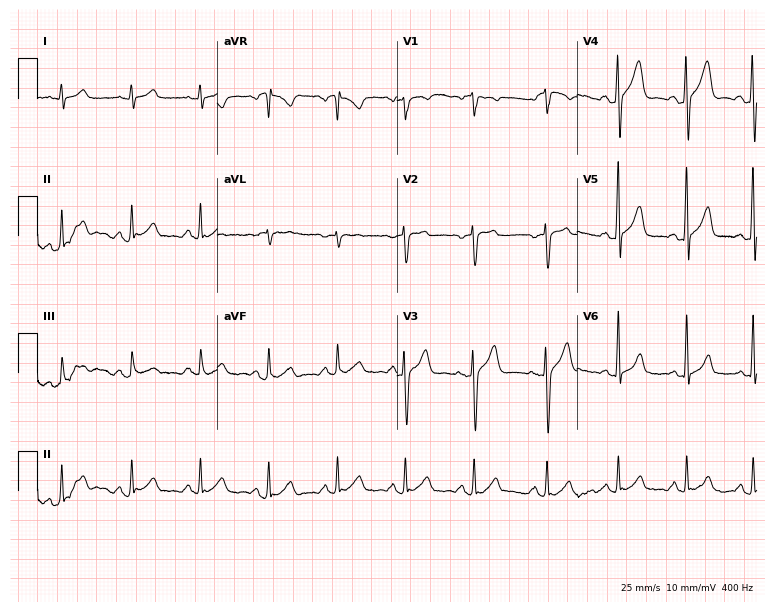
Resting 12-lead electrocardiogram. Patient: a 37-year-old man. Read as a normal ECG.